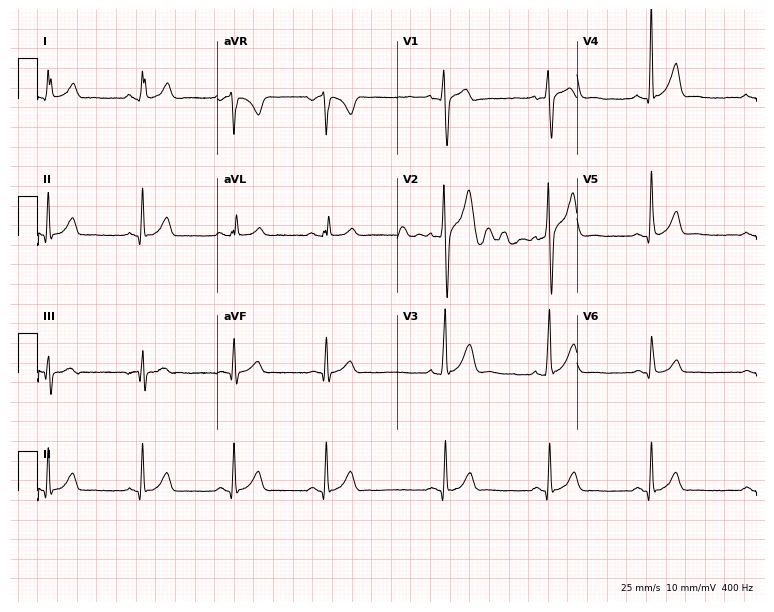
Resting 12-lead electrocardiogram. Patient: a male, 20 years old. None of these six findings is recorded: first-degree AV block, right bundle branch block, left bundle branch block, sinus bradycardia, atrial fibrillation, sinus tachycardia.